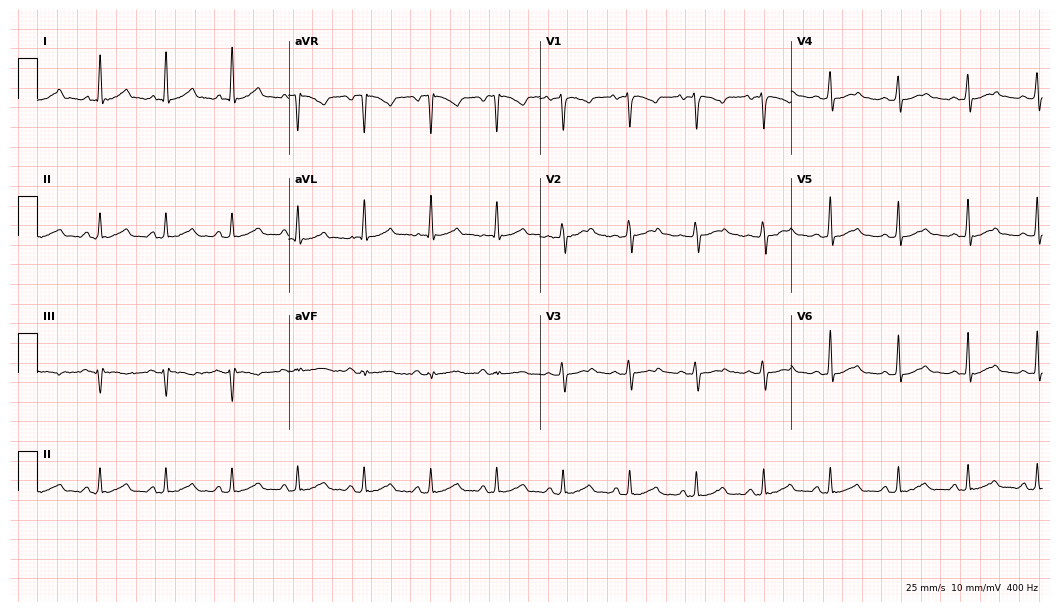
Standard 12-lead ECG recorded from a female, 44 years old (10.2-second recording at 400 Hz). Read as a normal ECG.